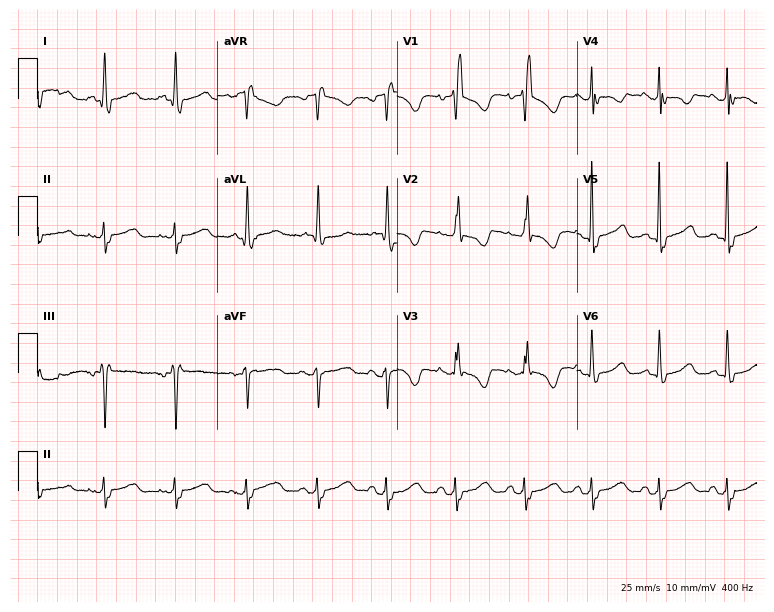
Standard 12-lead ECG recorded from a woman, 52 years old. The tracing shows right bundle branch block.